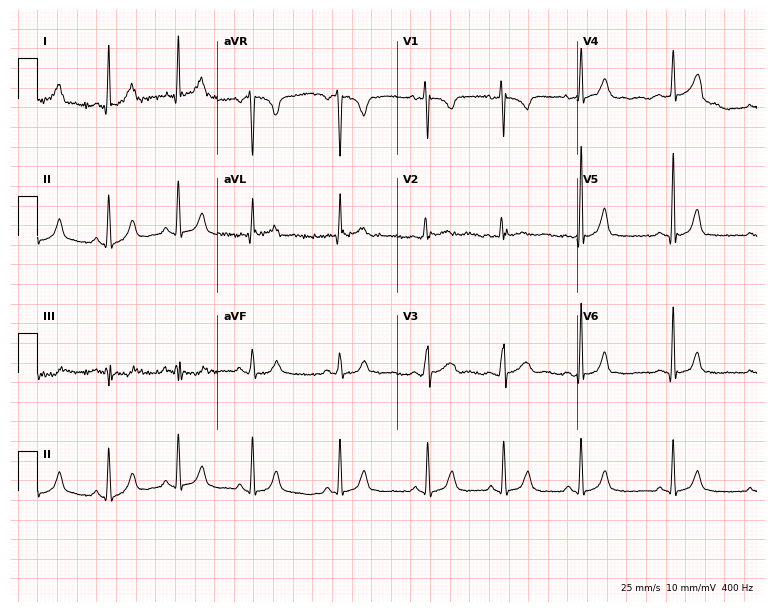
Standard 12-lead ECG recorded from a 22-year-old female (7.3-second recording at 400 Hz). Read as a normal ECG.